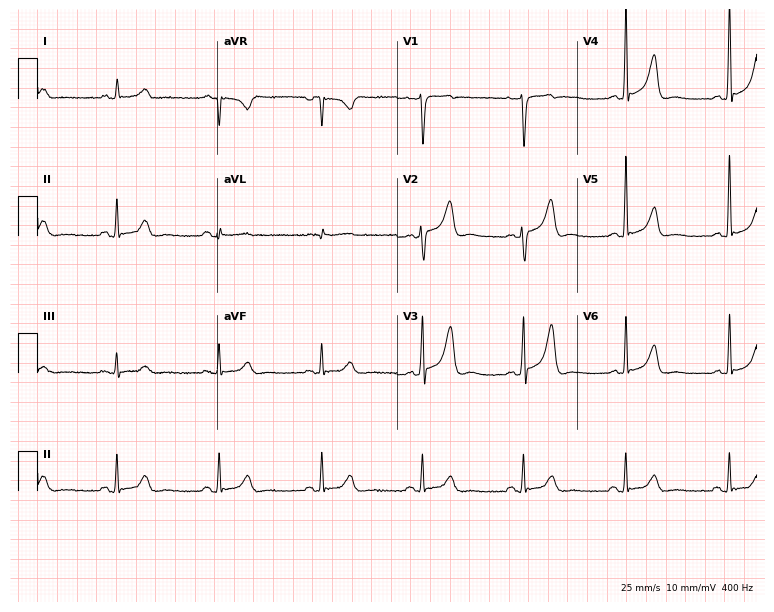
ECG (7.3-second recording at 400 Hz) — a 59-year-old man. Screened for six findings — first-degree AV block, right bundle branch block, left bundle branch block, sinus bradycardia, atrial fibrillation, sinus tachycardia — none is recorded. Other findings, if any, are not listed.